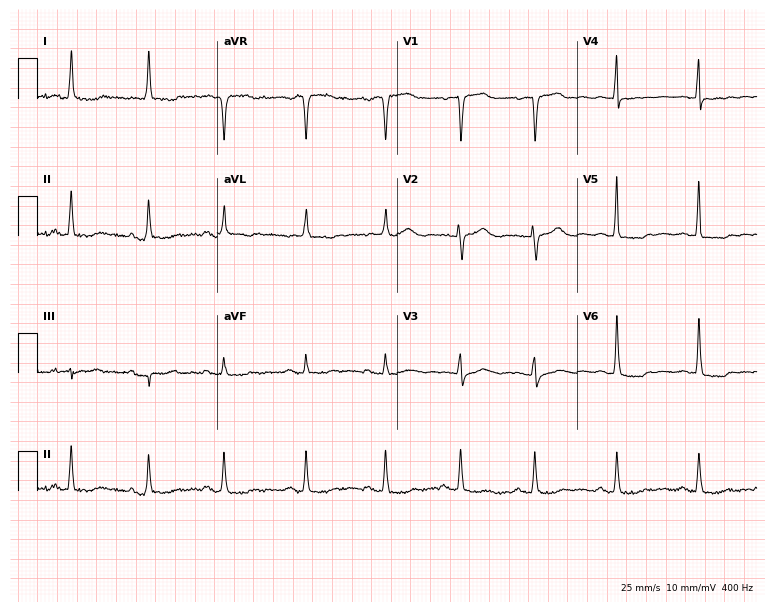
ECG — a 79-year-old woman. Screened for six findings — first-degree AV block, right bundle branch block, left bundle branch block, sinus bradycardia, atrial fibrillation, sinus tachycardia — none is recorded.